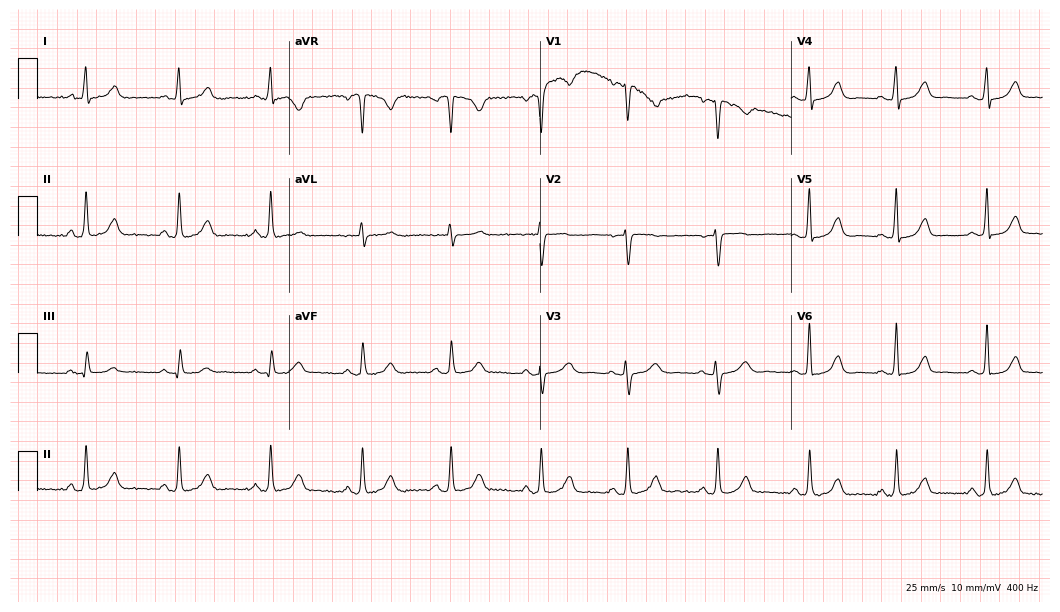
Standard 12-lead ECG recorded from a 39-year-old woman. Read as a normal ECG.